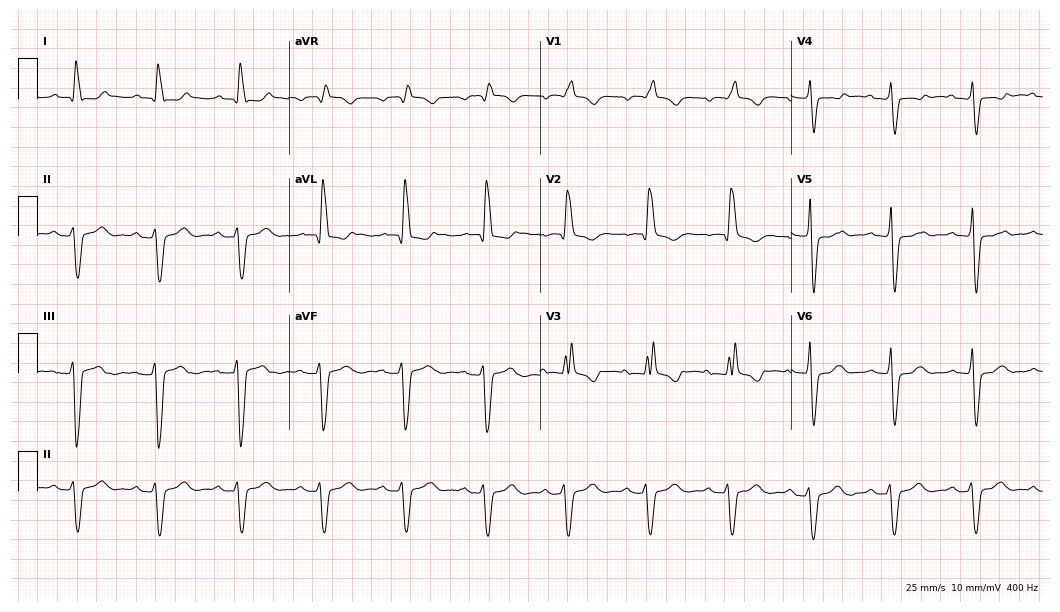
Resting 12-lead electrocardiogram. Patient: a female, 68 years old. The tracing shows right bundle branch block.